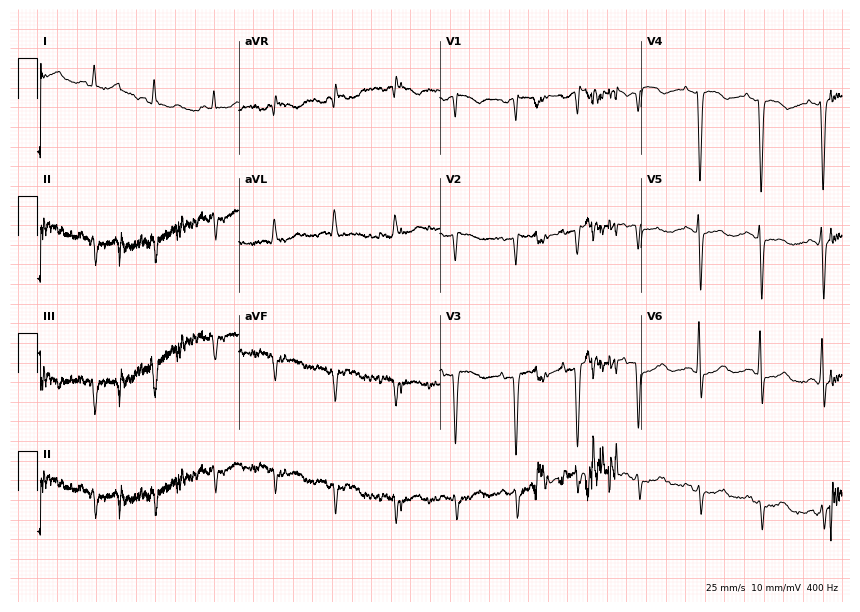
12-lead ECG from a female, 70 years old. No first-degree AV block, right bundle branch block, left bundle branch block, sinus bradycardia, atrial fibrillation or sinus tachycardia recorded for this tracing.